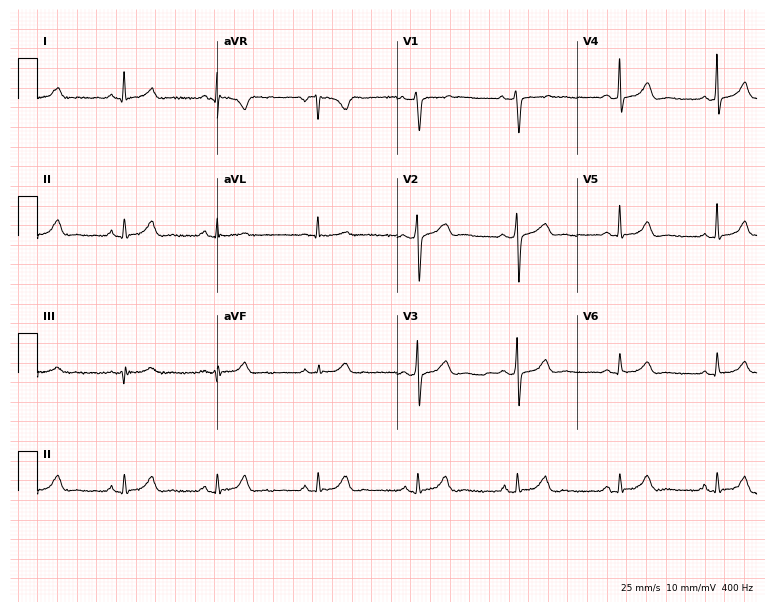
12-lead ECG (7.3-second recording at 400 Hz) from a 54-year-old woman. Screened for six findings — first-degree AV block, right bundle branch block, left bundle branch block, sinus bradycardia, atrial fibrillation, sinus tachycardia — none is recorded. Only these six findings were labelled.